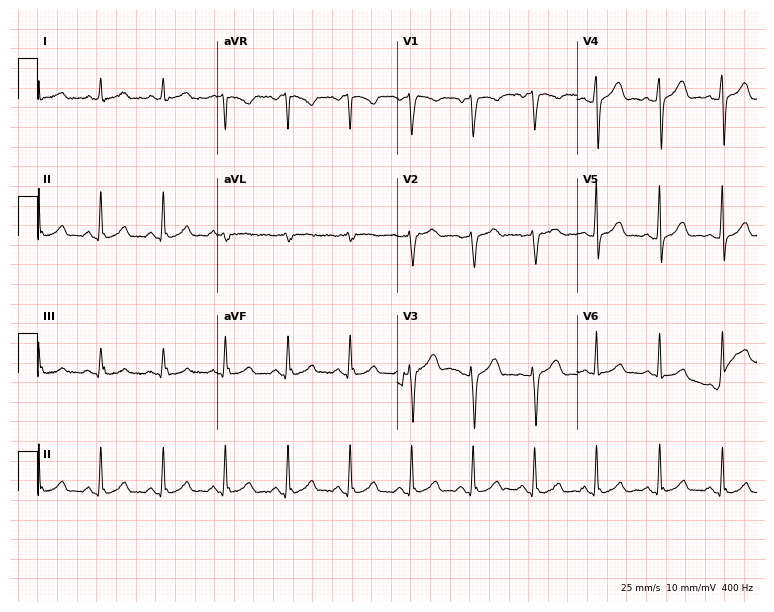
Standard 12-lead ECG recorded from a female, 44 years old. Read as a normal ECG.